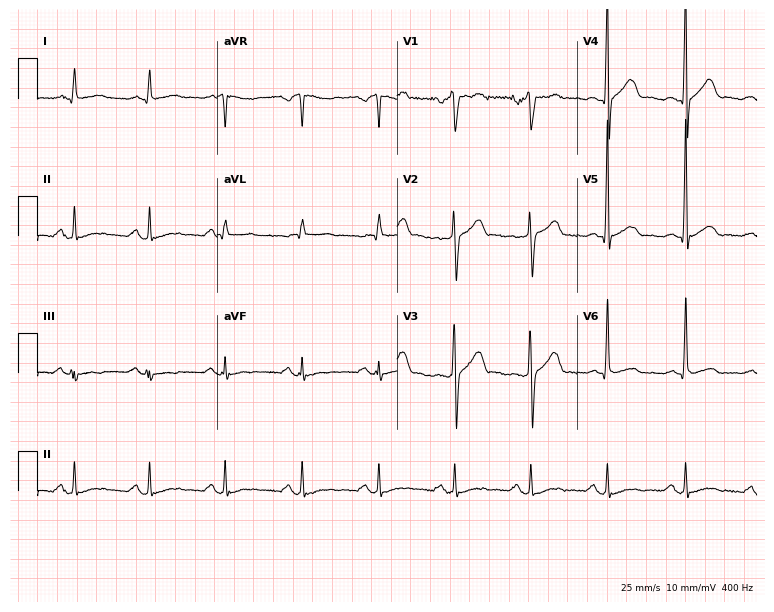
12-lead ECG from a 55-year-old male. Screened for six findings — first-degree AV block, right bundle branch block, left bundle branch block, sinus bradycardia, atrial fibrillation, sinus tachycardia — none is recorded.